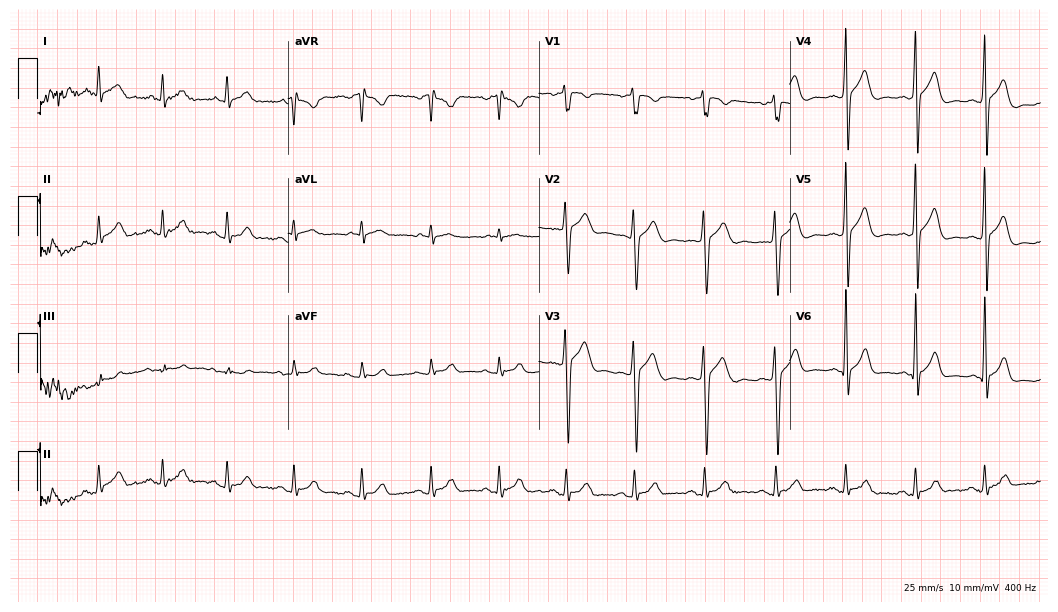
Electrocardiogram, a 27-year-old man. Overall reading on record: normal ECG.